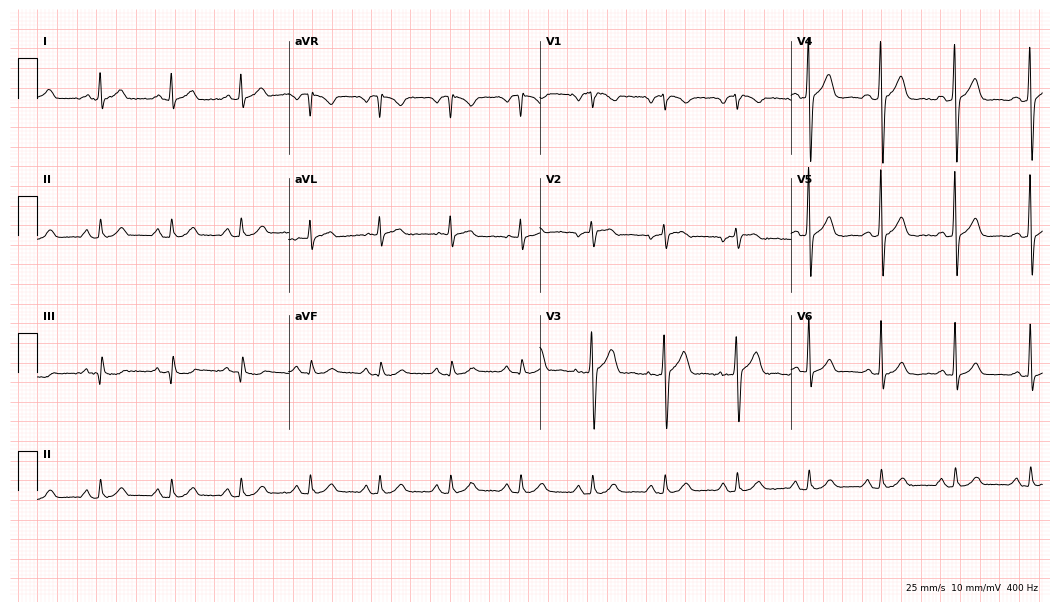
12-lead ECG (10.2-second recording at 400 Hz) from a 52-year-old male. Screened for six findings — first-degree AV block, right bundle branch block, left bundle branch block, sinus bradycardia, atrial fibrillation, sinus tachycardia — none is recorded.